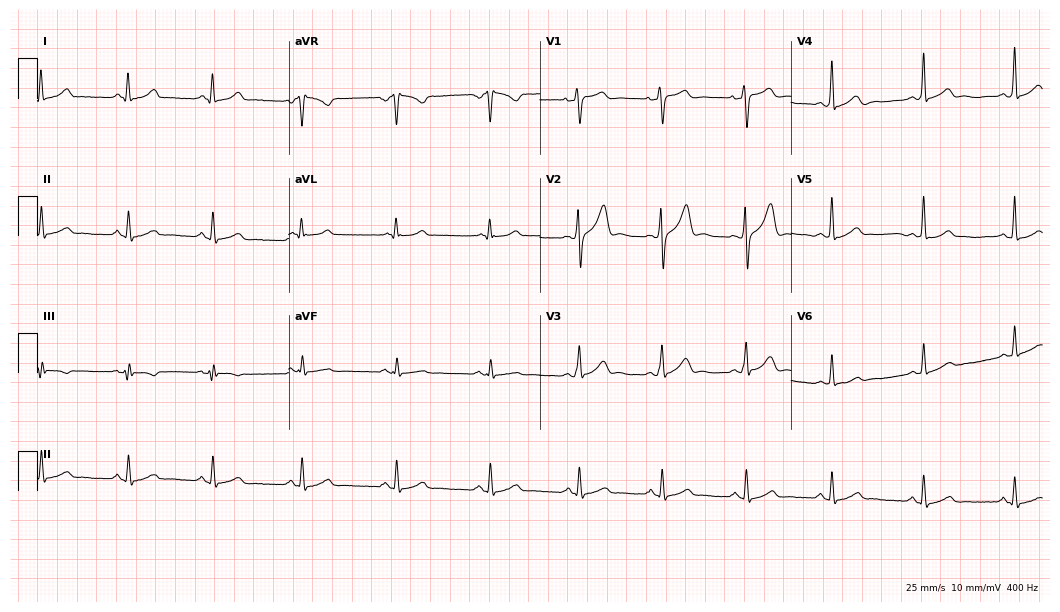
12-lead ECG (10.2-second recording at 400 Hz) from a 30-year-old male patient. Screened for six findings — first-degree AV block, right bundle branch block, left bundle branch block, sinus bradycardia, atrial fibrillation, sinus tachycardia — none is recorded.